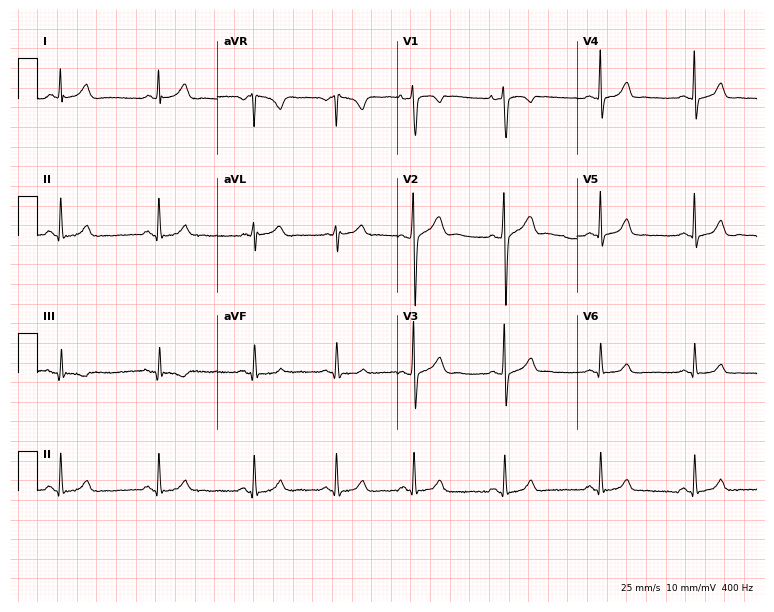
ECG — a female patient, 22 years old. Screened for six findings — first-degree AV block, right bundle branch block, left bundle branch block, sinus bradycardia, atrial fibrillation, sinus tachycardia — none is recorded. Only these six findings were labelled.